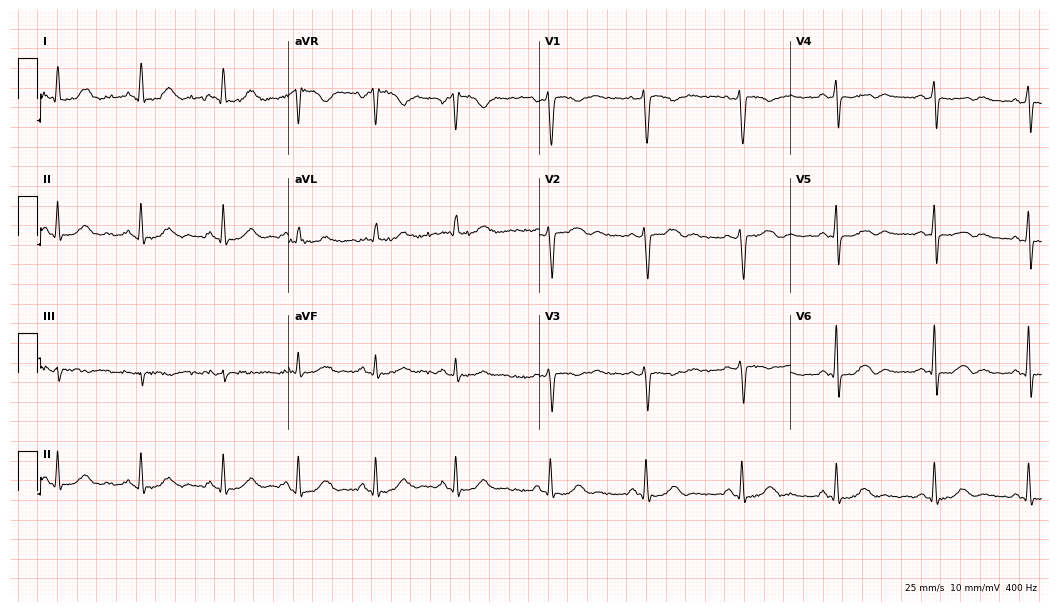
Electrocardiogram (10.2-second recording at 400 Hz), a 50-year-old woman. Overall reading on record: normal ECG.